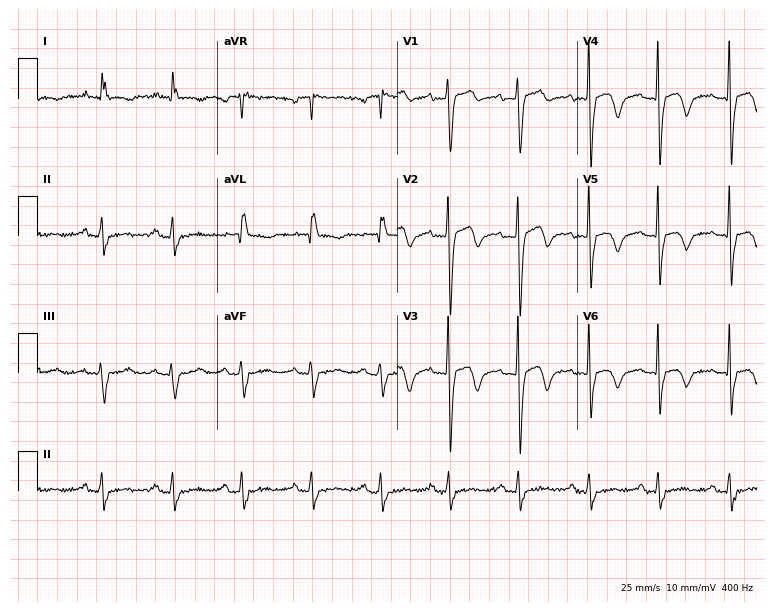
ECG (7.3-second recording at 400 Hz) — a 69-year-old woman. Screened for six findings — first-degree AV block, right bundle branch block, left bundle branch block, sinus bradycardia, atrial fibrillation, sinus tachycardia — none is recorded. Only these six findings were labelled.